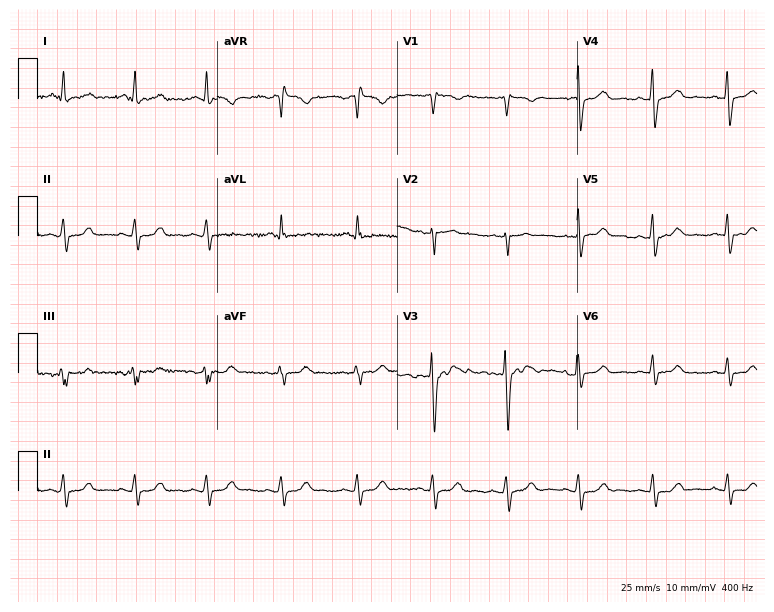
ECG (7.3-second recording at 400 Hz) — a female, 46 years old. Screened for six findings — first-degree AV block, right bundle branch block, left bundle branch block, sinus bradycardia, atrial fibrillation, sinus tachycardia — none is recorded.